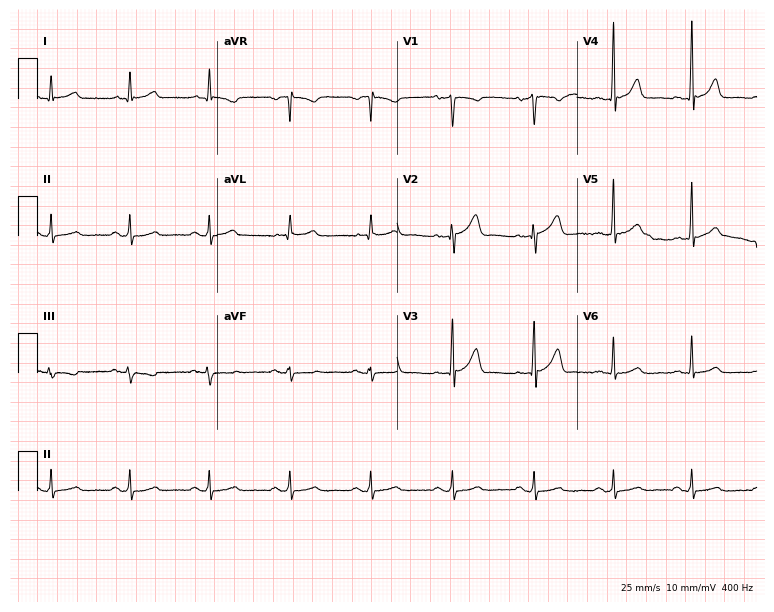
Standard 12-lead ECG recorded from a male, 67 years old (7.3-second recording at 400 Hz). Read as a normal ECG.